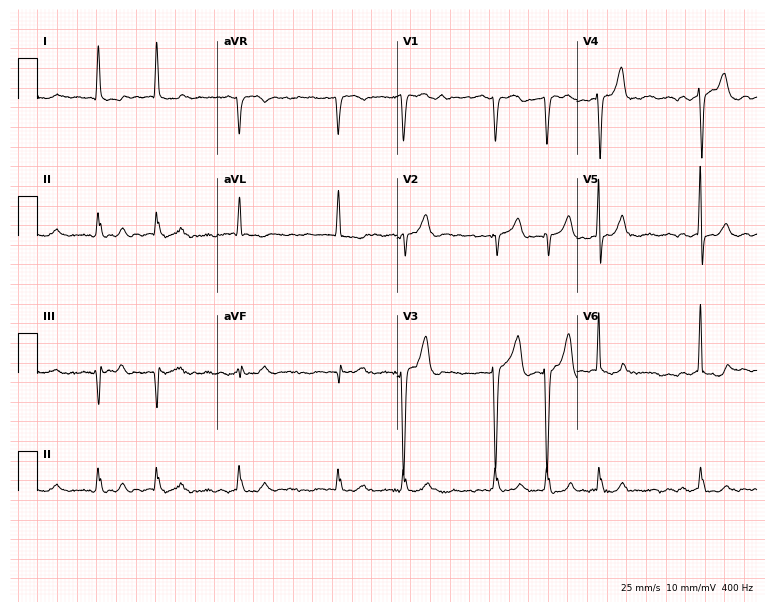
ECG — a male patient, 78 years old. Findings include atrial fibrillation.